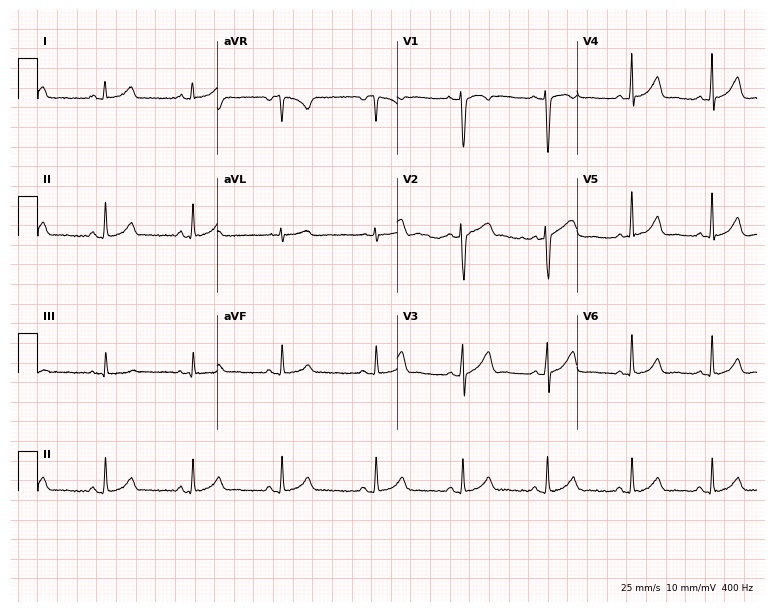
12-lead ECG from a 26-year-old woman (7.3-second recording at 400 Hz). No first-degree AV block, right bundle branch block, left bundle branch block, sinus bradycardia, atrial fibrillation or sinus tachycardia recorded for this tracing.